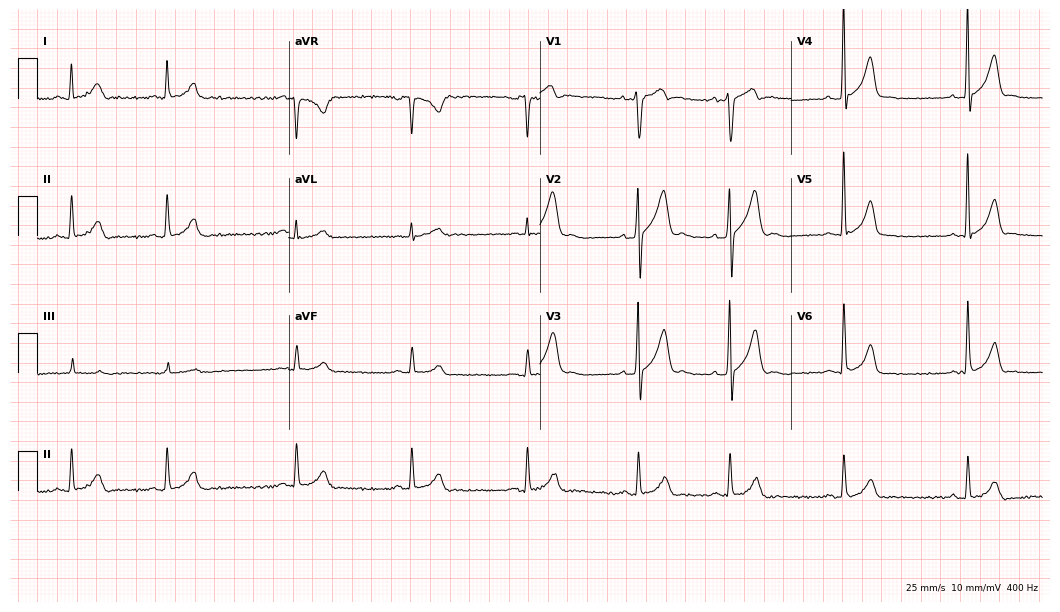
Standard 12-lead ECG recorded from a male patient, 32 years old (10.2-second recording at 400 Hz). None of these six findings is recorded: first-degree AV block, right bundle branch block (RBBB), left bundle branch block (LBBB), sinus bradycardia, atrial fibrillation (AF), sinus tachycardia.